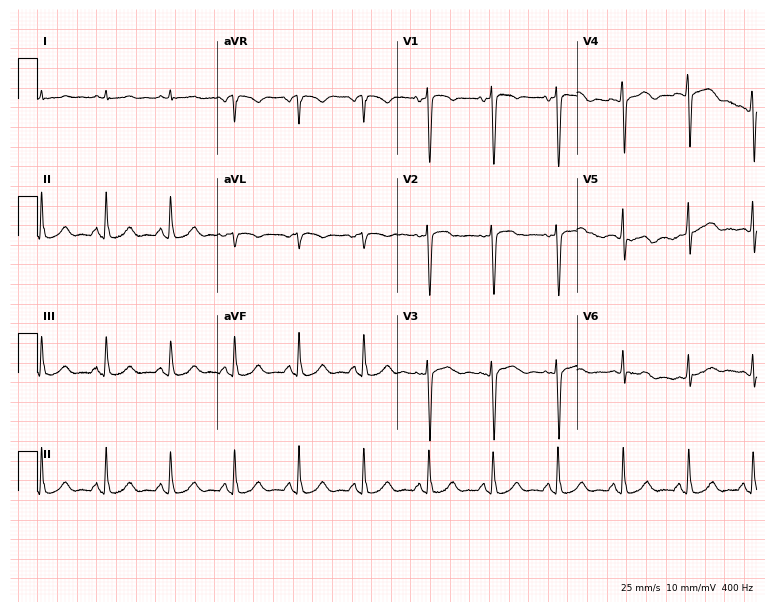
12-lead ECG (7.3-second recording at 400 Hz) from a 75-year-old male. Labelled as a normal ECG.